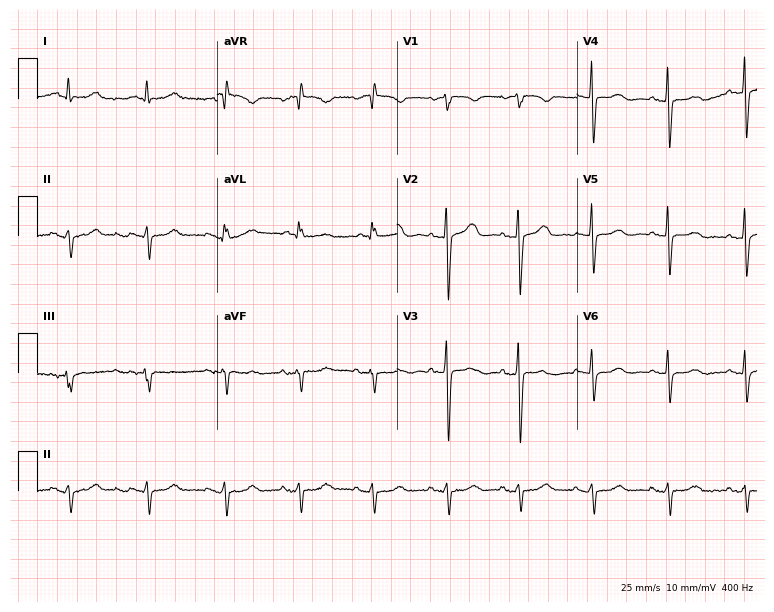
12-lead ECG from an 80-year-old female (7.3-second recording at 400 Hz). No first-degree AV block, right bundle branch block, left bundle branch block, sinus bradycardia, atrial fibrillation or sinus tachycardia recorded for this tracing. Only these six findings were labelled.